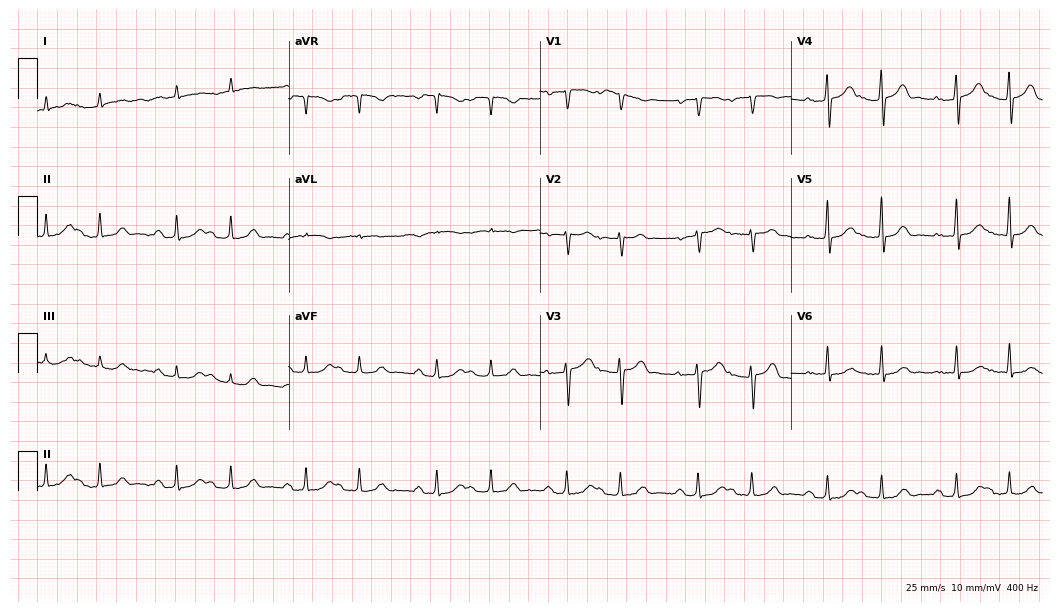
ECG — an 81-year-old man. Screened for six findings — first-degree AV block, right bundle branch block (RBBB), left bundle branch block (LBBB), sinus bradycardia, atrial fibrillation (AF), sinus tachycardia — none is recorded.